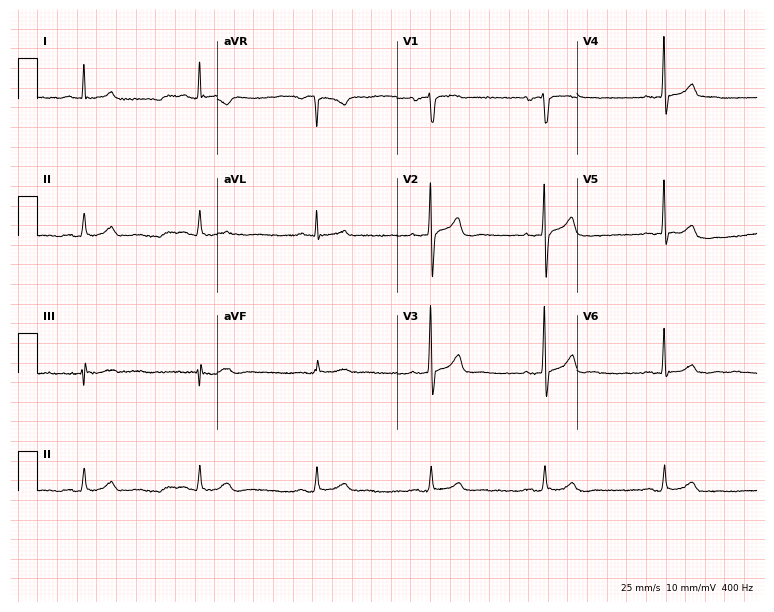
Resting 12-lead electrocardiogram. Patient: a 57-year-old male. Read as a normal ECG.